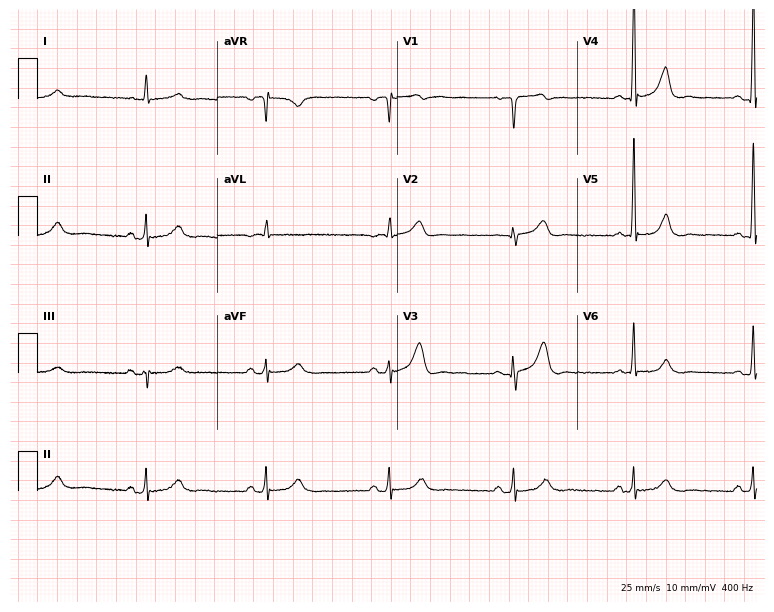
Resting 12-lead electrocardiogram (7.3-second recording at 400 Hz). Patient: a man, 72 years old. None of these six findings is recorded: first-degree AV block, right bundle branch block, left bundle branch block, sinus bradycardia, atrial fibrillation, sinus tachycardia. Other findings, if any, are not listed.